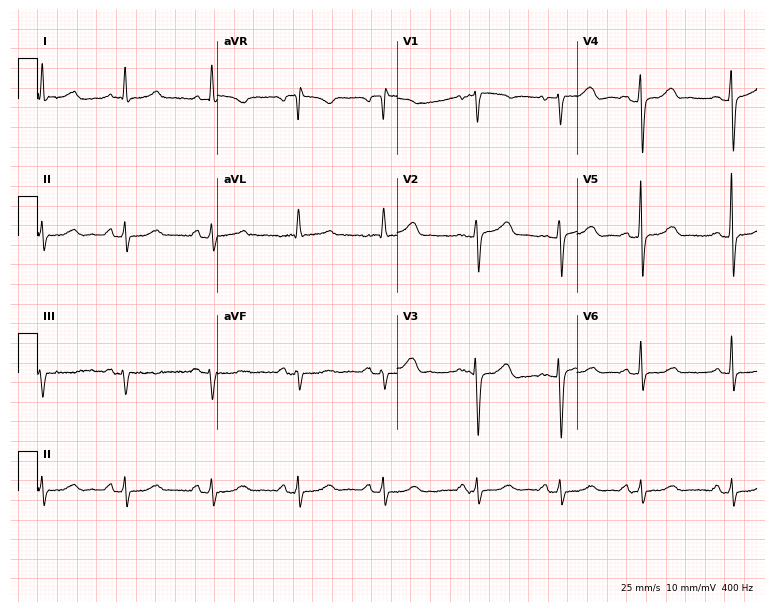
Electrocardiogram, a female, 72 years old. Of the six screened findings (first-degree AV block, right bundle branch block, left bundle branch block, sinus bradycardia, atrial fibrillation, sinus tachycardia), none is recorded. Only these six findings were labelled.